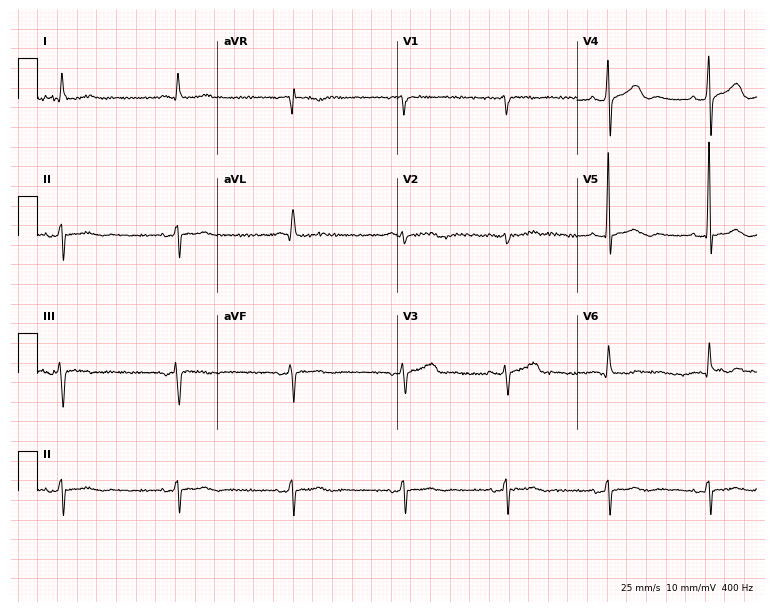
ECG — a 79-year-old male patient. Screened for six findings — first-degree AV block, right bundle branch block, left bundle branch block, sinus bradycardia, atrial fibrillation, sinus tachycardia — none is recorded.